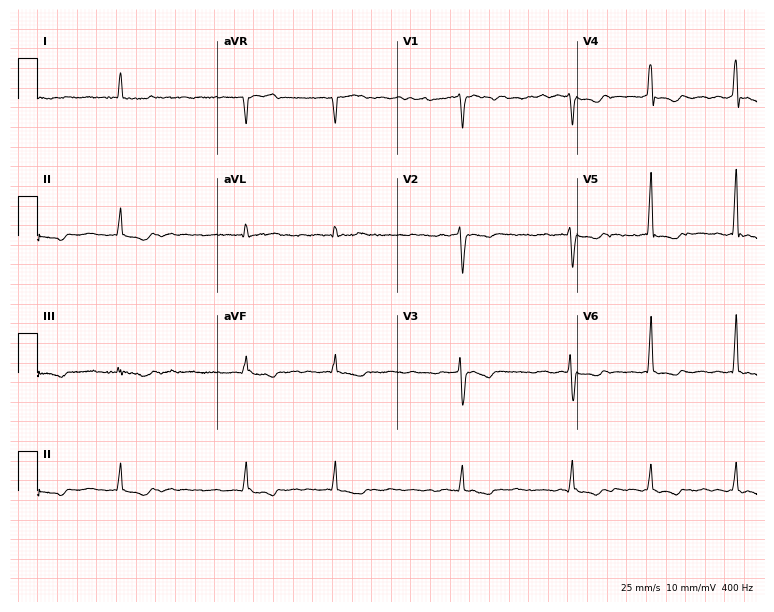
12-lead ECG from a male, 42 years old. Screened for six findings — first-degree AV block, right bundle branch block, left bundle branch block, sinus bradycardia, atrial fibrillation, sinus tachycardia — none is recorded. Findings outside these six are not listed.